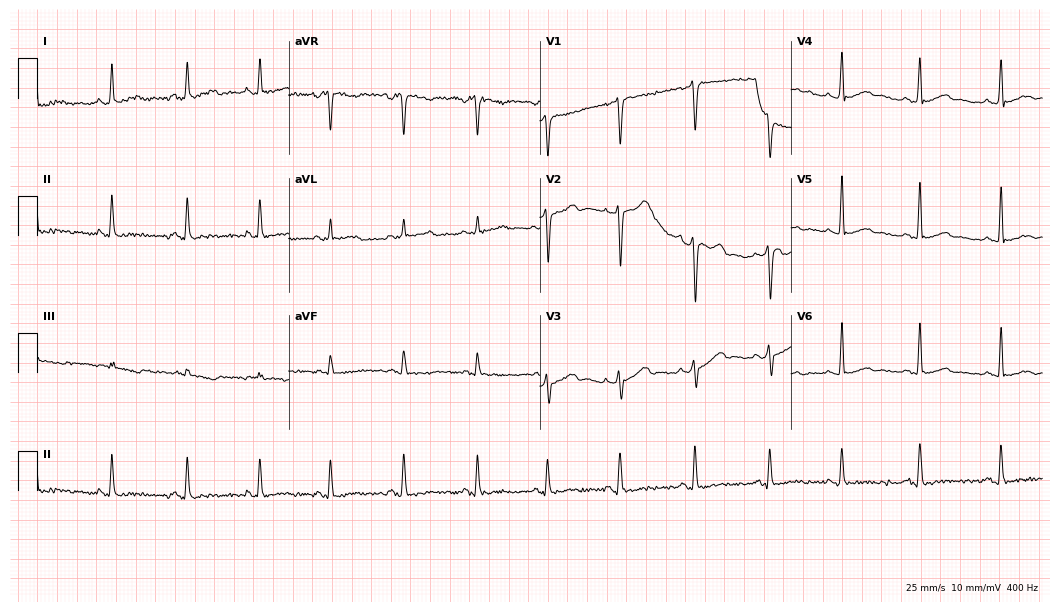
Electrocardiogram, a woman, 31 years old. Of the six screened findings (first-degree AV block, right bundle branch block, left bundle branch block, sinus bradycardia, atrial fibrillation, sinus tachycardia), none is recorded.